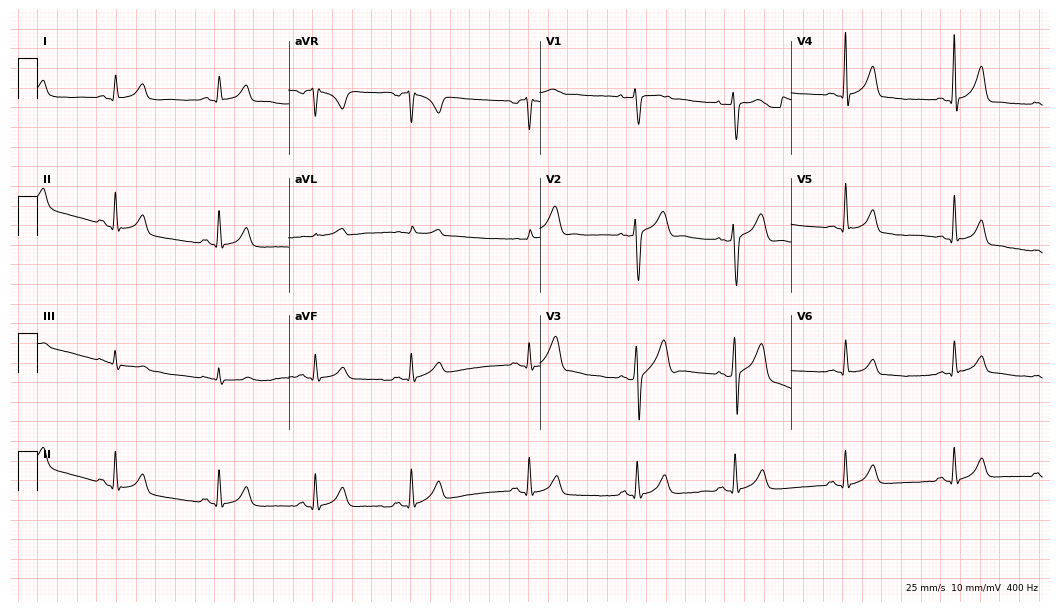
12-lead ECG from a male, 23 years old (10.2-second recording at 400 Hz). Recorded interpretation: within normal limits.